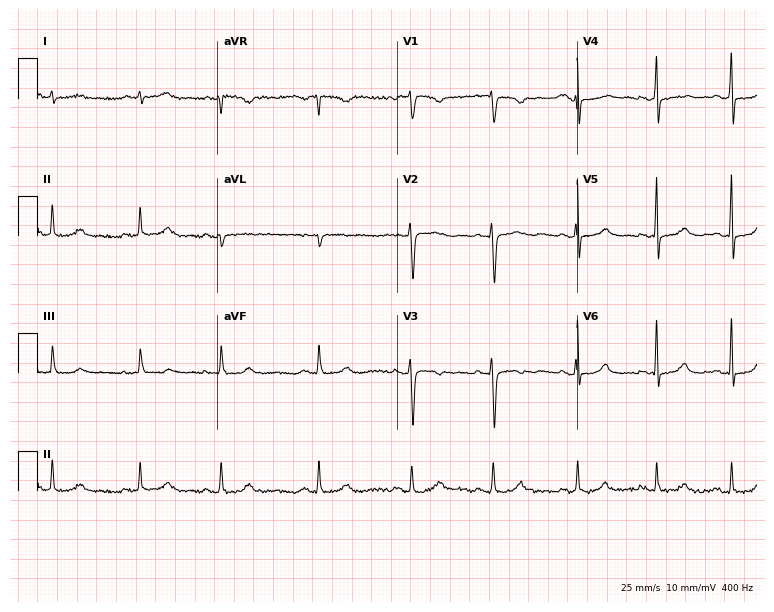
Resting 12-lead electrocardiogram. Patient: a female, 28 years old. None of these six findings is recorded: first-degree AV block, right bundle branch block, left bundle branch block, sinus bradycardia, atrial fibrillation, sinus tachycardia. Other findings, if any, are not listed.